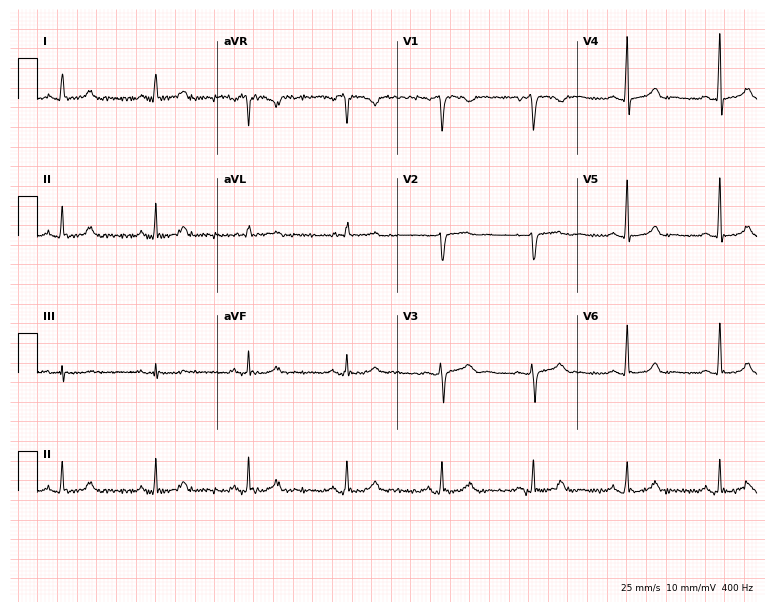
12-lead ECG from a 48-year-old woman. Recorded interpretation: within normal limits.